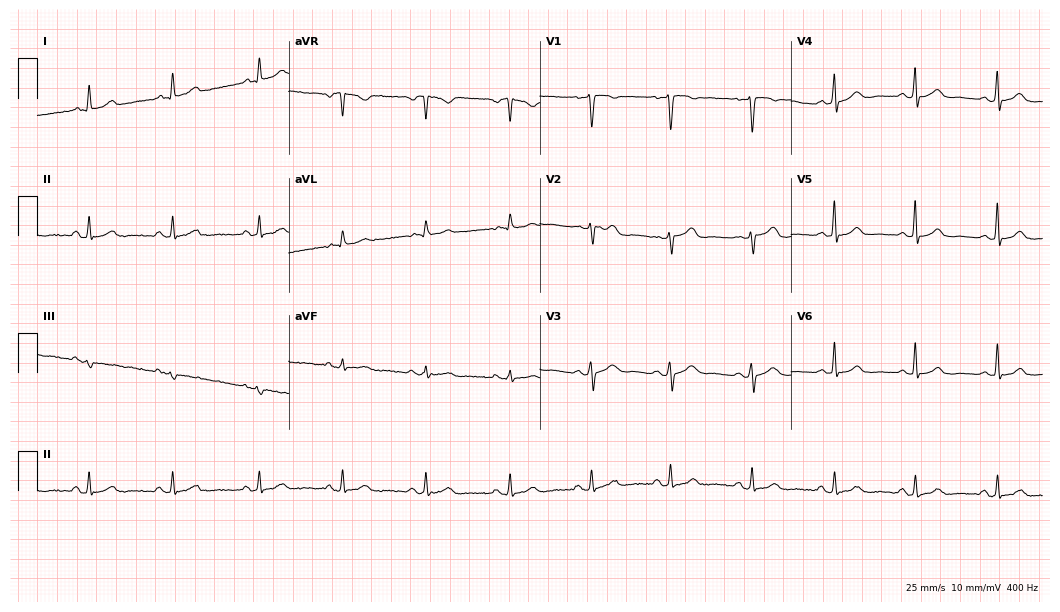
Electrocardiogram, a female, 43 years old. Overall reading on record: normal ECG.